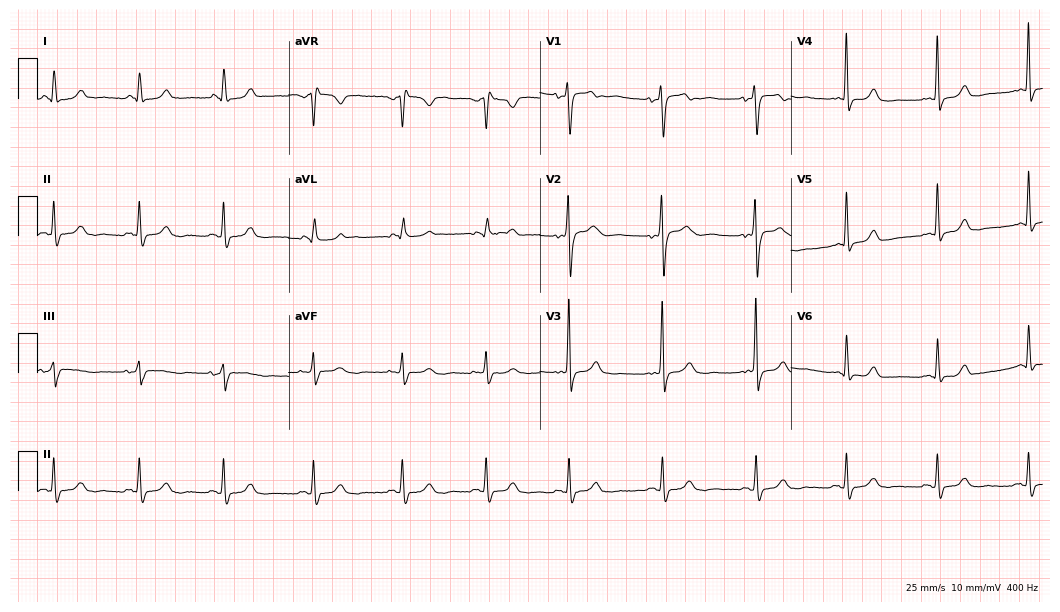
Standard 12-lead ECG recorded from a 44-year-old female patient. None of these six findings is recorded: first-degree AV block, right bundle branch block, left bundle branch block, sinus bradycardia, atrial fibrillation, sinus tachycardia.